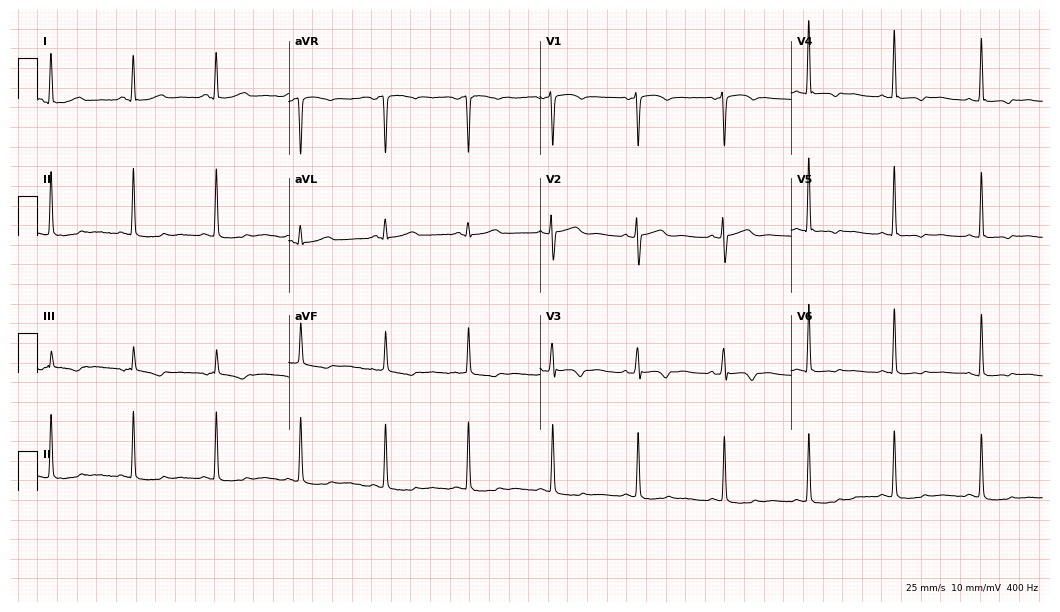
Electrocardiogram (10.2-second recording at 400 Hz), a female, 42 years old. Of the six screened findings (first-degree AV block, right bundle branch block, left bundle branch block, sinus bradycardia, atrial fibrillation, sinus tachycardia), none is recorded. Other findings, if any, are not listed.